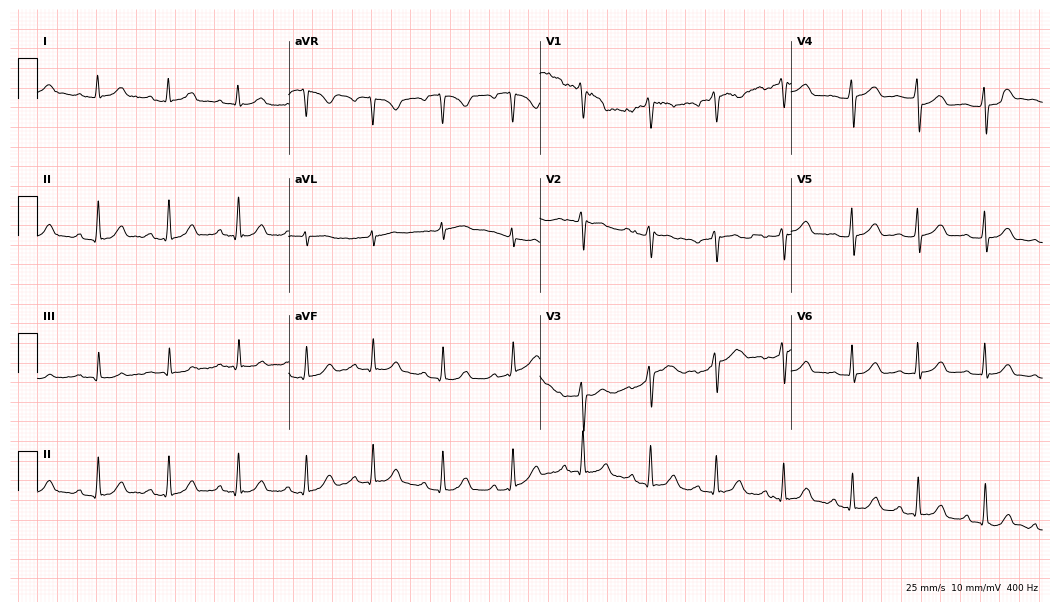
12-lead ECG from a 44-year-old female patient (10.2-second recording at 400 Hz). Recorded interpretation: within normal limits.